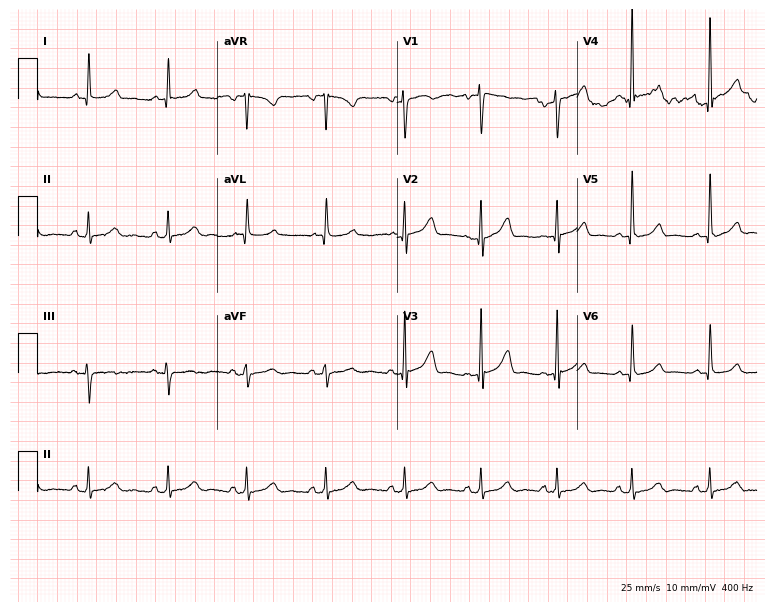
Resting 12-lead electrocardiogram (7.3-second recording at 400 Hz). Patient: a female, 59 years old. None of these six findings is recorded: first-degree AV block, right bundle branch block, left bundle branch block, sinus bradycardia, atrial fibrillation, sinus tachycardia. Other findings, if any, are not listed.